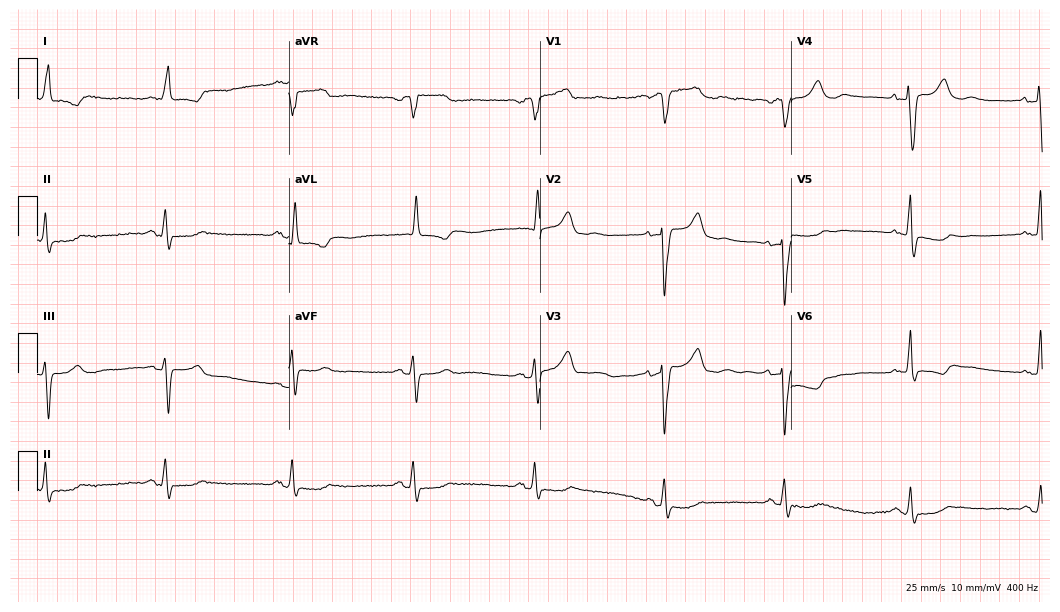
ECG — a woman, 83 years old. Findings include sinus bradycardia (a sinus rate of 50 beats per minute or less).